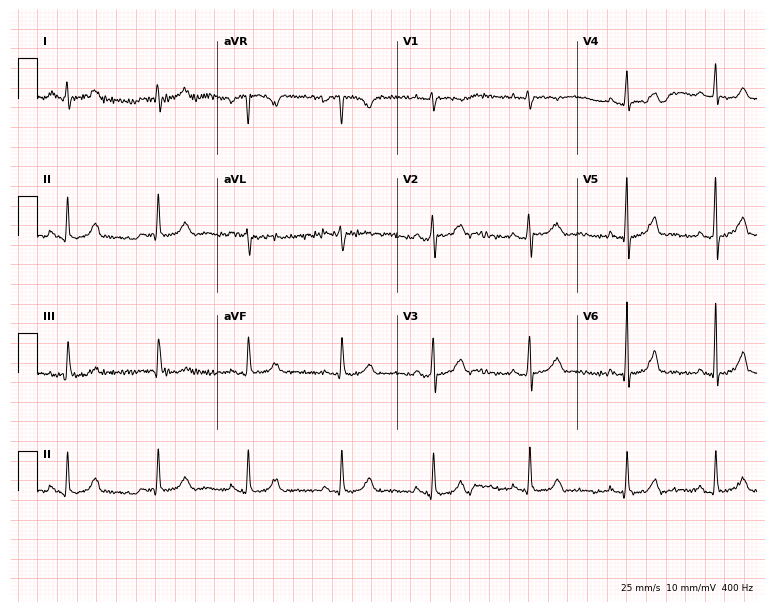
Standard 12-lead ECG recorded from a woman, 19 years old. None of these six findings is recorded: first-degree AV block, right bundle branch block, left bundle branch block, sinus bradycardia, atrial fibrillation, sinus tachycardia. Only these six findings were labelled.